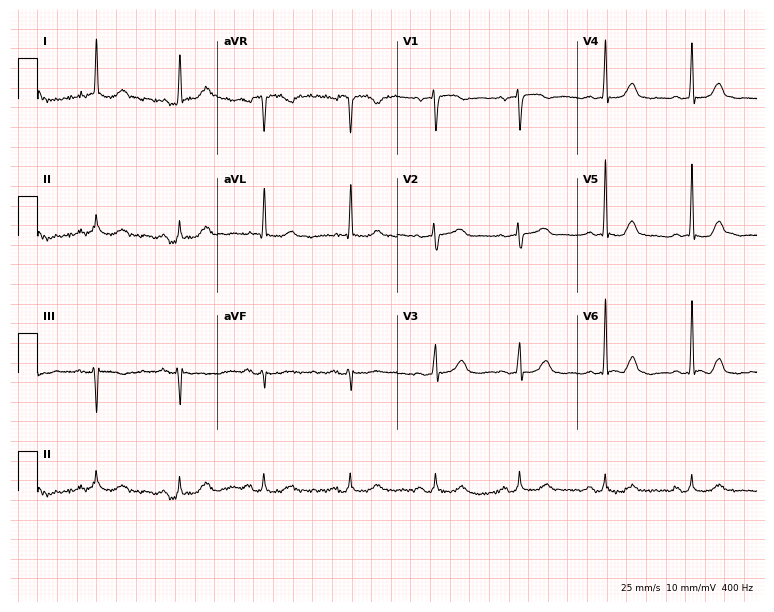
12-lead ECG from a female patient, 74 years old. Screened for six findings — first-degree AV block, right bundle branch block, left bundle branch block, sinus bradycardia, atrial fibrillation, sinus tachycardia — none is recorded.